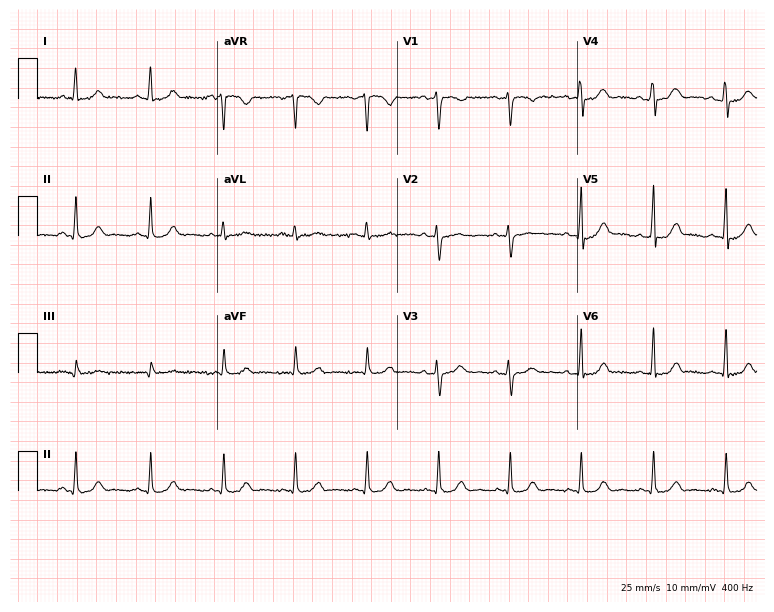
ECG — a 45-year-old woman. Labelled as a normal ECG.